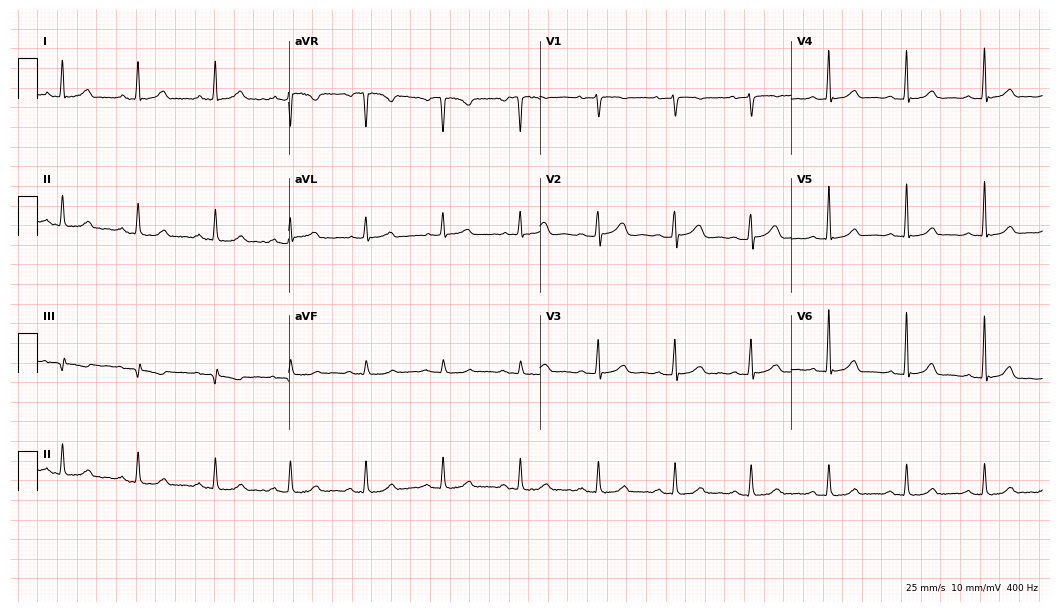
ECG — a 41-year-old female patient. Labelled as a normal ECG.